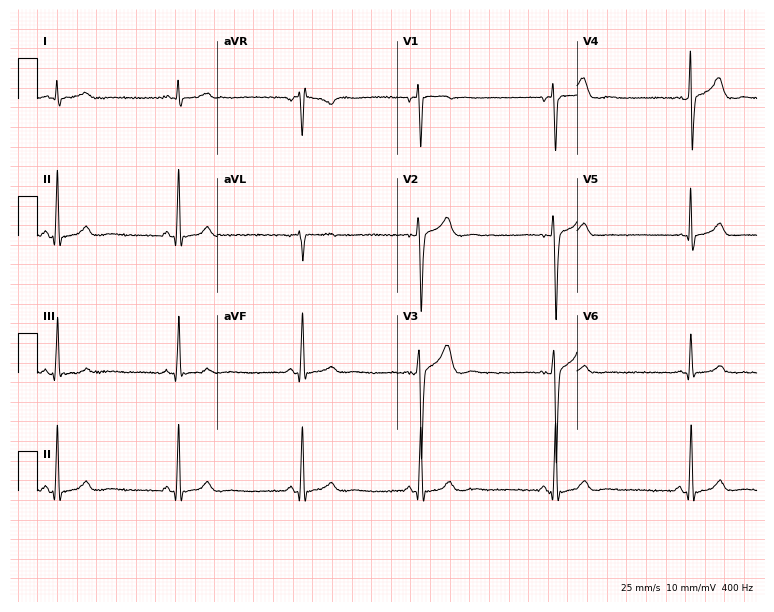
Standard 12-lead ECG recorded from a male patient, 28 years old (7.3-second recording at 400 Hz). The tracing shows sinus bradycardia (a sinus rate of 50 beats per minute or less).